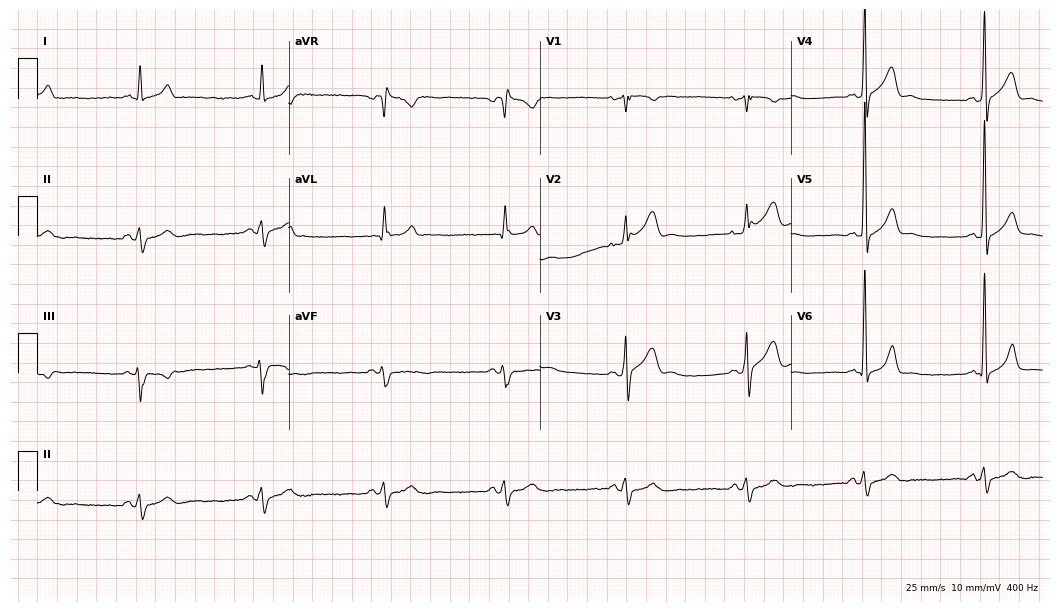
12-lead ECG from a man, 62 years old (10.2-second recording at 400 Hz). No first-degree AV block, right bundle branch block, left bundle branch block, sinus bradycardia, atrial fibrillation or sinus tachycardia recorded for this tracing. Other findings, if any, are not listed.